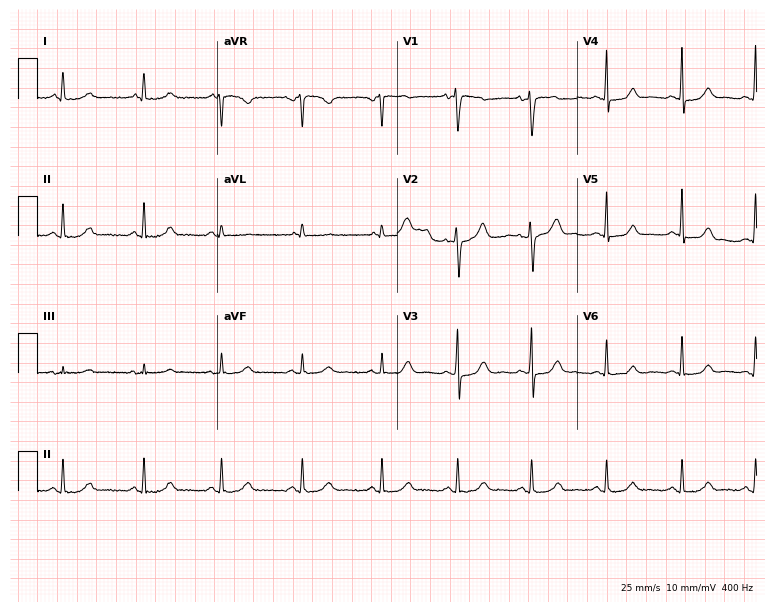
Electrocardiogram, a 34-year-old female patient. Of the six screened findings (first-degree AV block, right bundle branch block, left bundle branch block, sinus bradycardia, atrial fibrillation, sinus tachycardia), none is recorded.